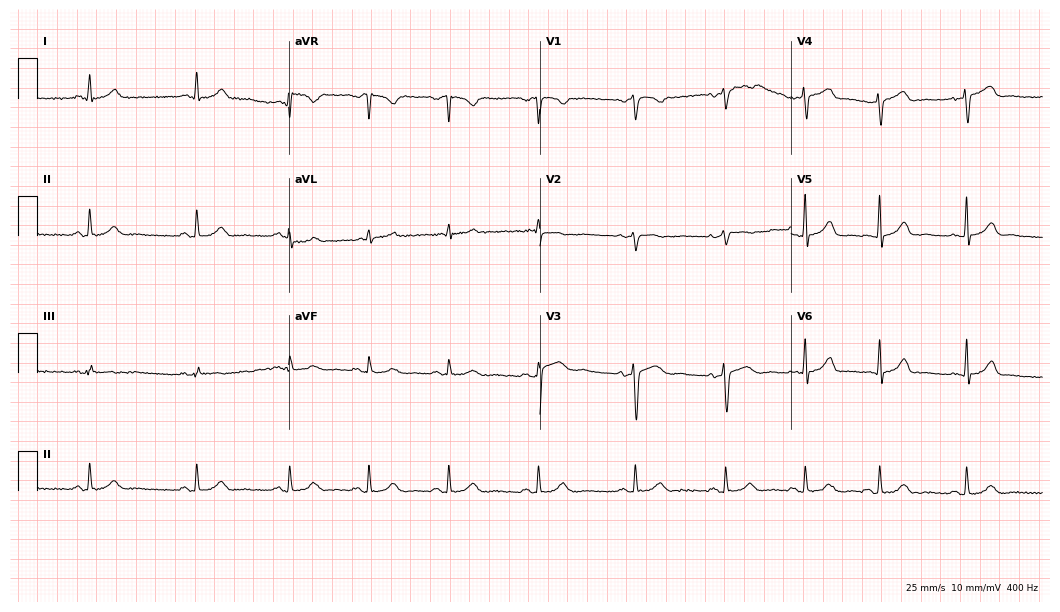
12-lead ECG (10.2-second recording at 400 Hz) from a female patient, 30 years old. Screened for six findings — first-degree AV block, right bundle branch block, left bundle branch block, sinus bradycardia, atrial fibrillation, sinus tachycardia — none is recorded. Other findings, if any, are not listed.